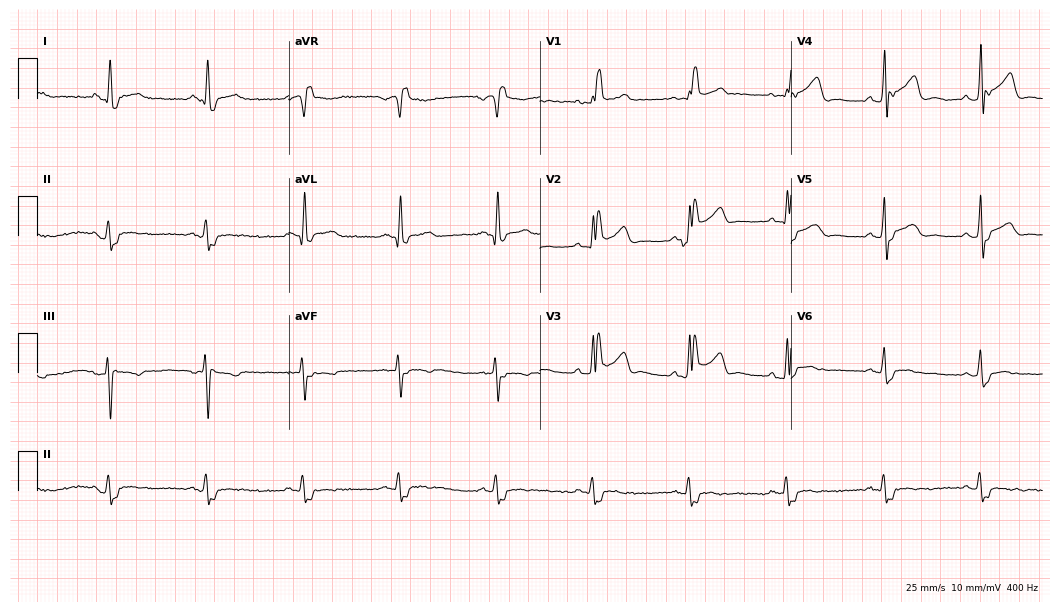
Resting 12-lead electrocardiogram (10.2-second recording at 400 Hz). Patient: a male, 42 years old. None of these six findings is recorded: first-degree AV block, right bundle branch block, left bundle branch block, sinus bradycardia, atrial fibrillation, sinus tachycardia. Findings outside these six are not listed.